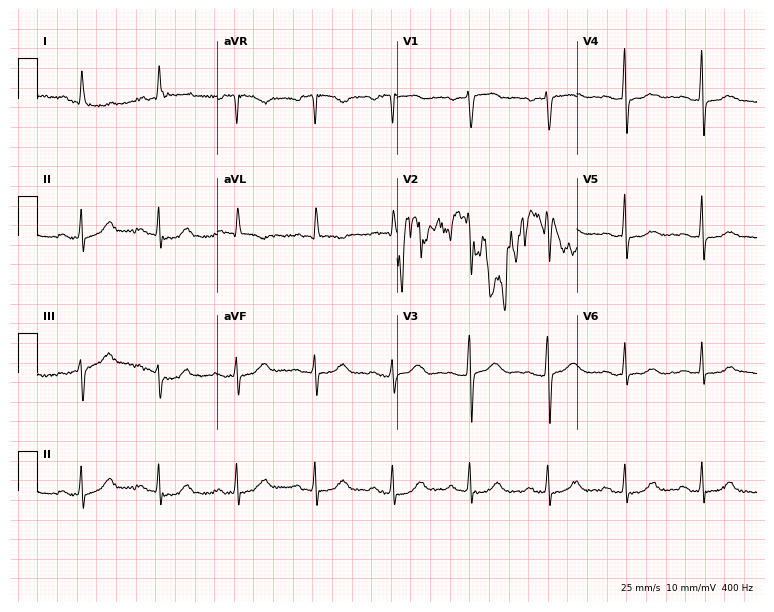
Electrocardiogram, a 59-year-old female patient. Of the six screened findings (first-degree AV block, right bundle branch block, left bundle branch block, sinus bradycardia, atrial fibrillation, sinus tachycardia), none is recorded.